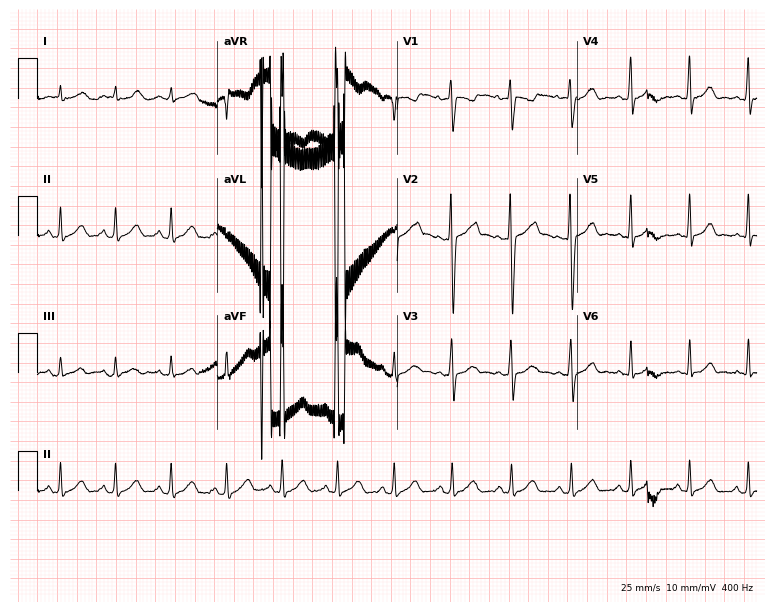
Resting 12-lead electrocardiogram. Patient: a 33-year-old female. None of these six findings is recorded: first-degree AV block, right bundle branch block, left bundle branch block, sinus bradycardia, atrial fibrillation, sinus tachycardia. Other findings, if any, are not listed.